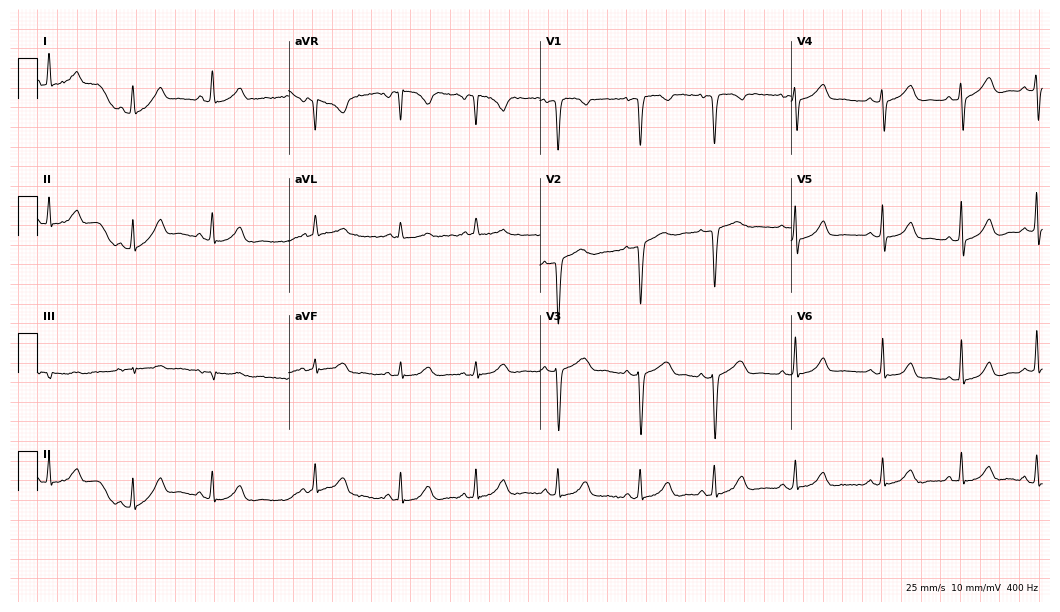
12-lead ECG from a female patient, 38 years old. Labelled as a normal ECG.